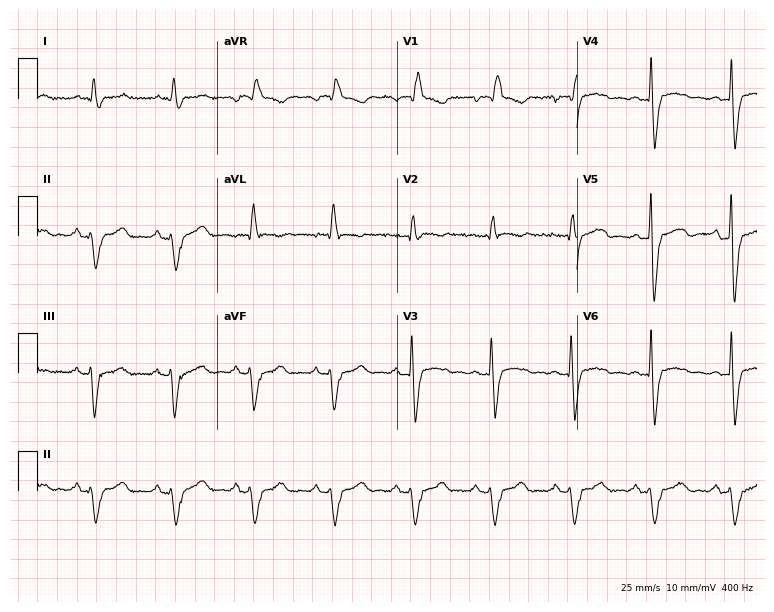
Resting 12-lead electrocardiogram (7.3-second recording at 400 Hz). Patient: a 59-year-old man. The tracing shows right bundle branch block (RBBB).